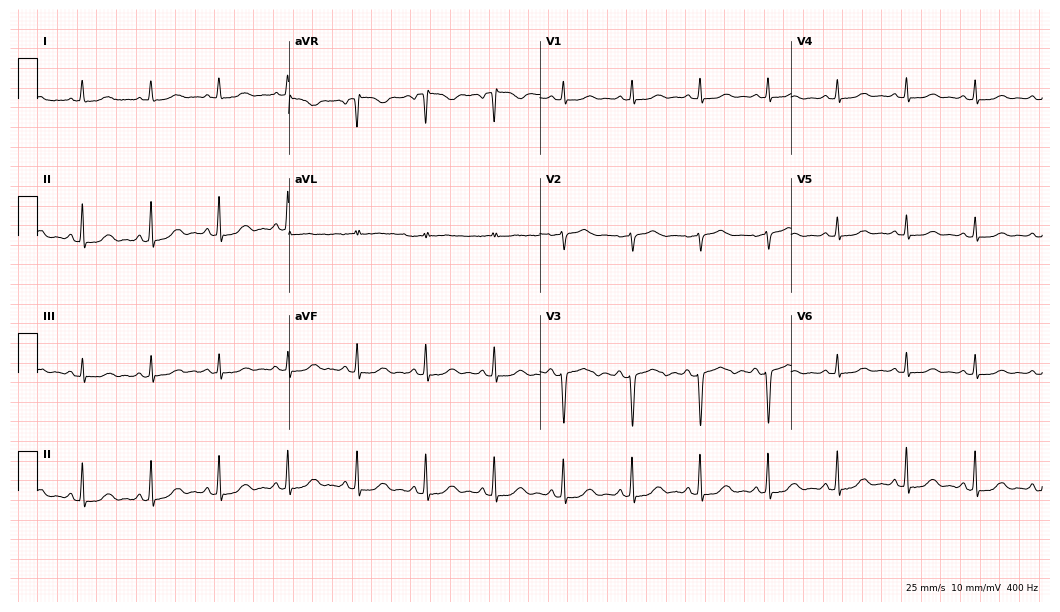
Resting 12-lead electrocardiogram (10.2-second recording at 400 Hz). Patient: a woman, 55 years old. None of these six findings is recorded: first-degree AV block, right bundle branch block, left bundle branch block, sinus bradycardia, atrial fibrillation, sinus tachycardia. Findings outside these six are not listed.